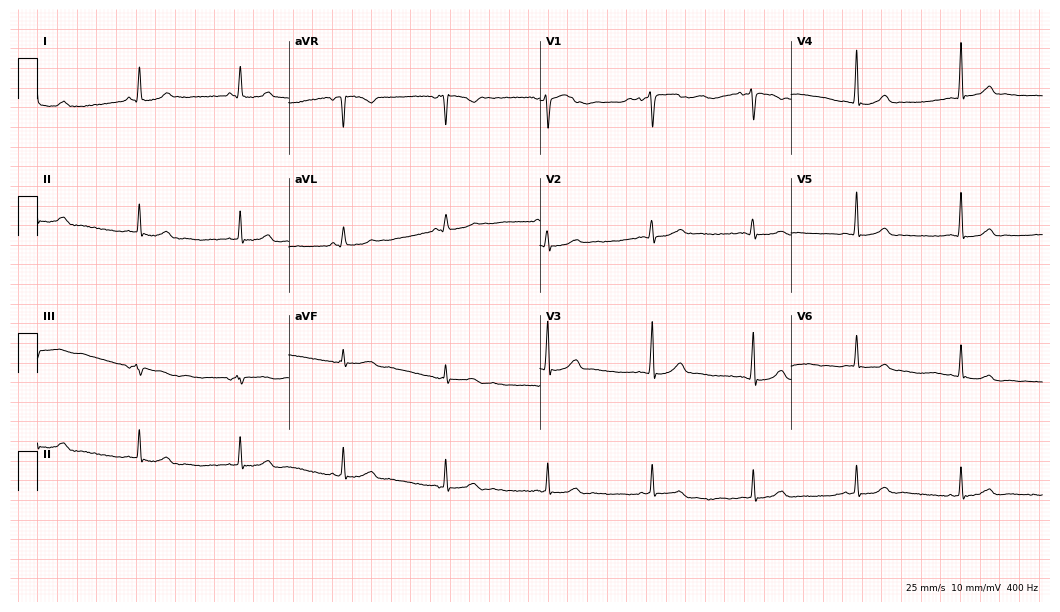
Resting 12-lead electrocardiogram (10.2-second recording at 400 Hz). Patient: a female, 33 years old. Read as a normal ECG.